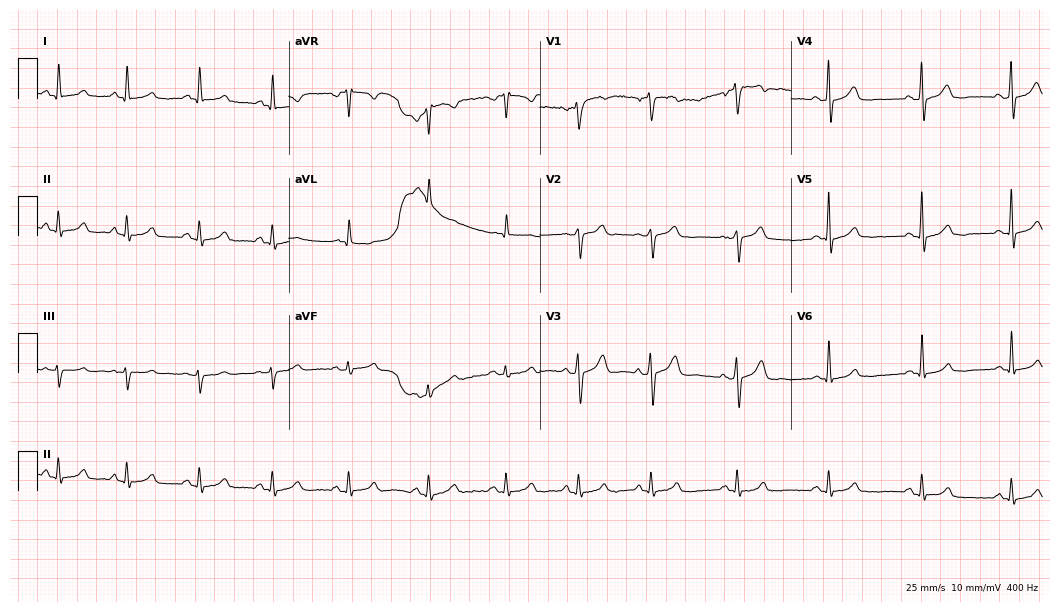
Electrocardiogram, a 44-year-old man. Overall reading on record: normal ECG.